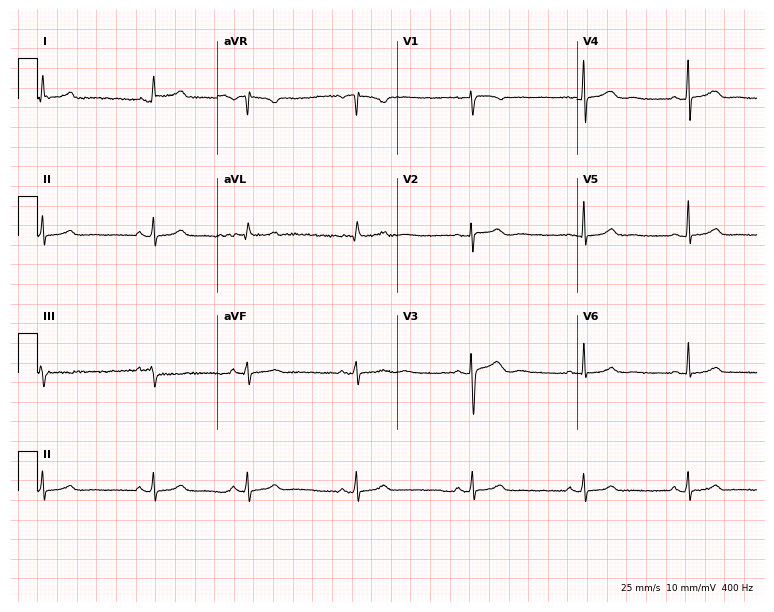
Electrocardiogram (7.3-second recording at 400 Hz), a 22-year-old female. Overall reading on record: normal ECG.